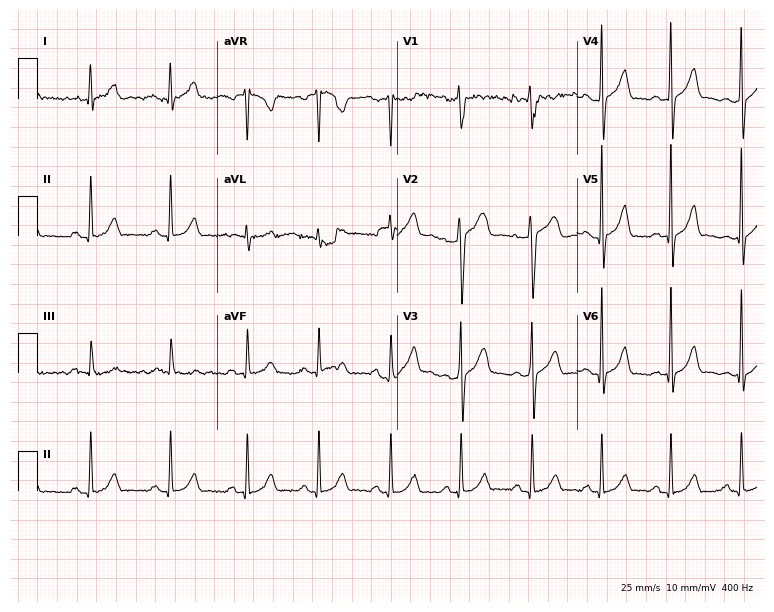
Resting 12-lead electrocardiogram. Patient: a 24-year-old man. None of these six findings is recorded: first-degree AV block, right bundle branch block (RBBB), left bundle branch block (LBBB), sinus bradycardia, atrial fibrillation (AF), sinus tachycardia. Findings outside these six are not listed.